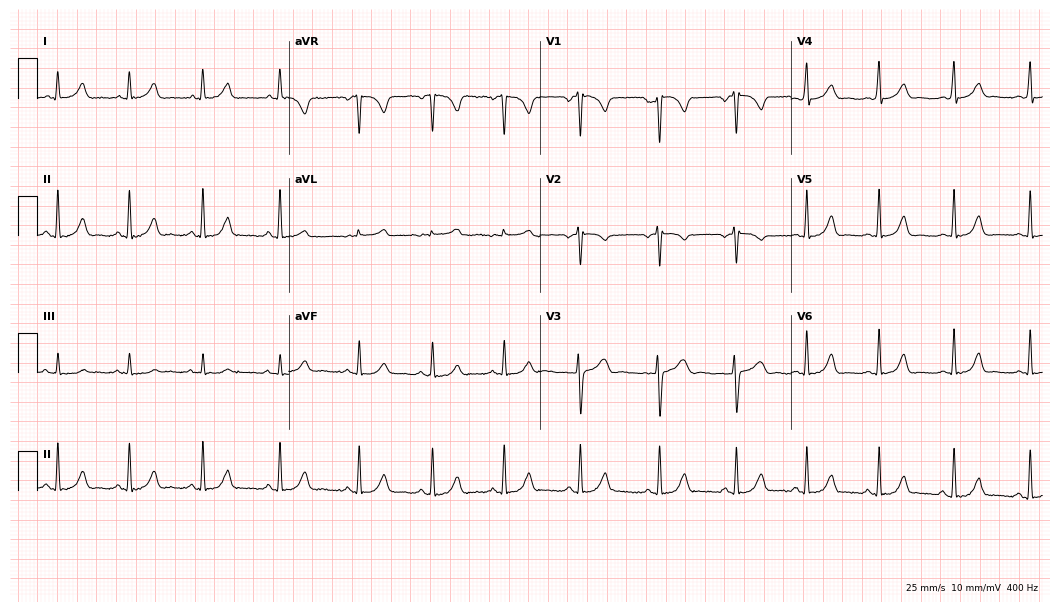
12-lead ECG from a 22-year-old female. Labelled as a normal ECG.